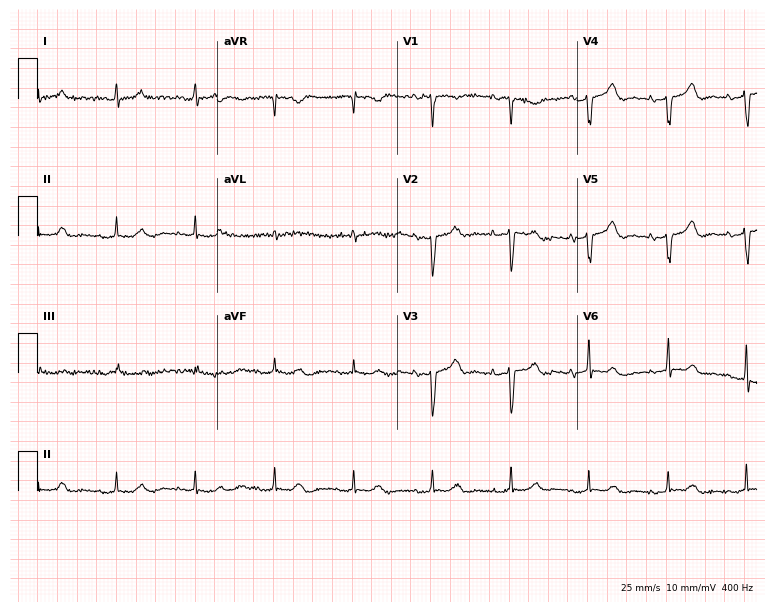
Resting 12-lead electrocardiogram. Patient: an 80-year-old female. None of these six findings is recorded: first-degree AV block, right bundle branch block, left bundle branch block, sinus bradycardia, atrial fibrillation, sinus tachycardia. Other findings, if any, are not listed.